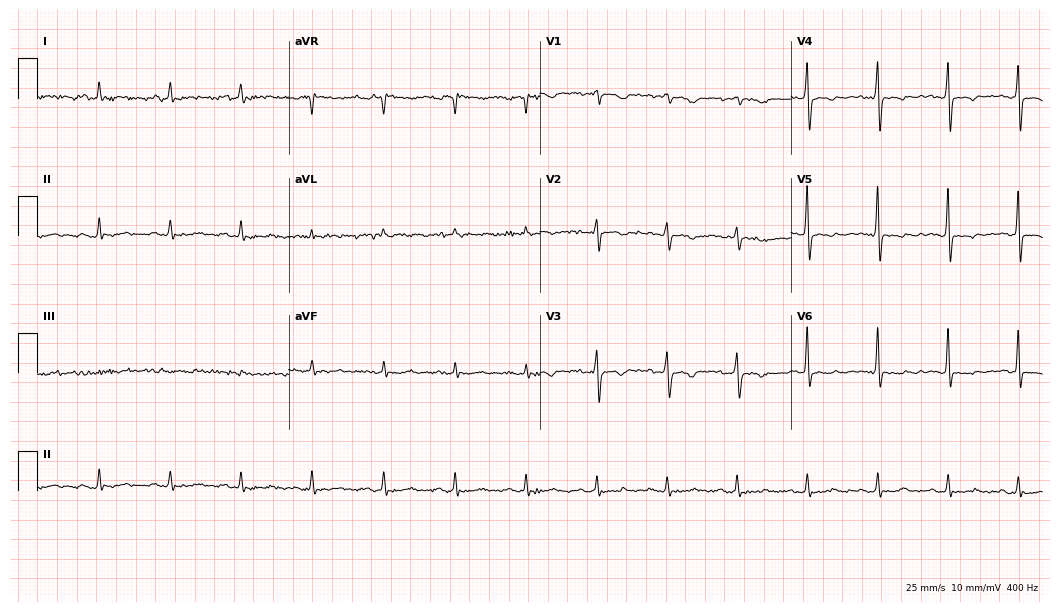
Electrocardiogram (10.2-second recording at 400 Hz), a 75-year-old female. Of the six screened findings (first-degree AV block, right bundle branch block (RBBB), left bundle branch block (LBBB), sinus bradycardia, atrial fibrillation (AF), sinus tachycardia), none is recorded. Only these six findings were labelled.